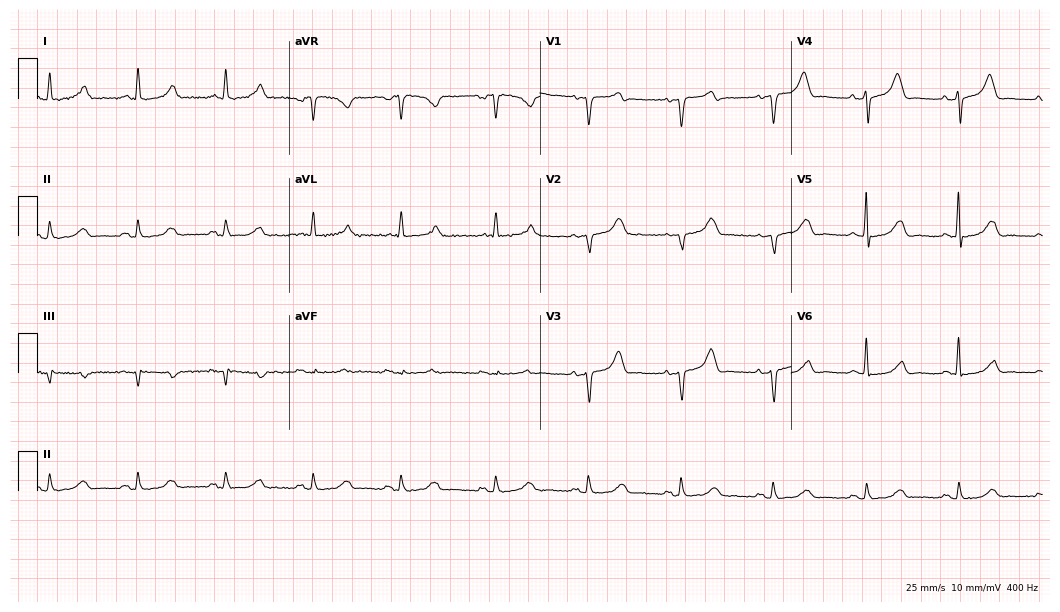
Electrocardiogram, a man, 69 years old. Overall reading on record: normal ECG.